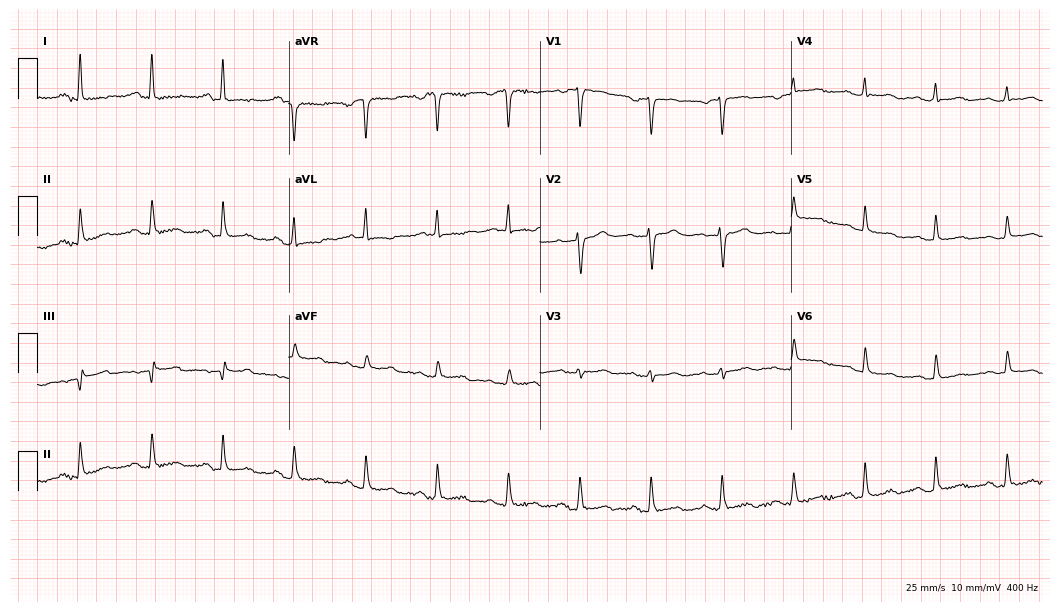
Electrocardiogram (10.2-second recording at 400 Hz), a 57-year-old female. Of the six screened findings (first-degree AV block, right bundle branch block, left bundle branch block, sinus bradycardia, atrial fibrillation, sinus tachycardia), none is recorded. Findings outside these six are not listed.